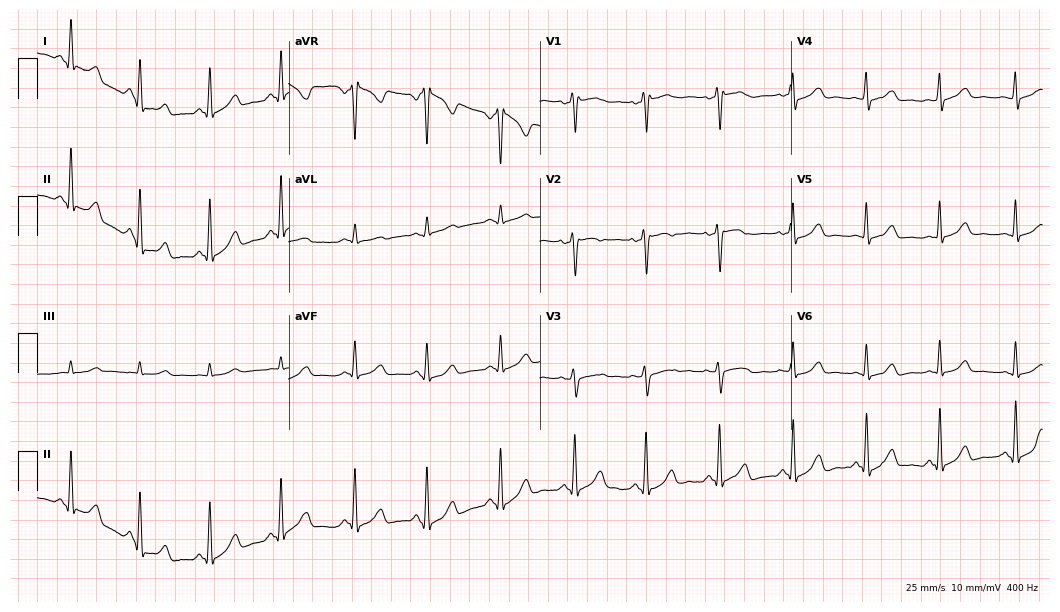
ECG (10.2-second recording at 400 Hz) — a 45-year-old female patient. Labelled as a normal ECG.